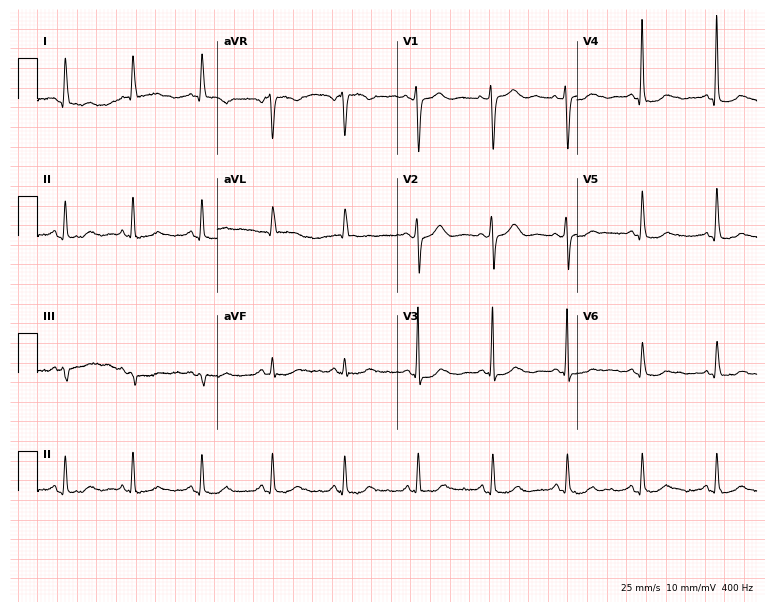
ECG — a female, 73 years old. Labelled as a normal ECG.